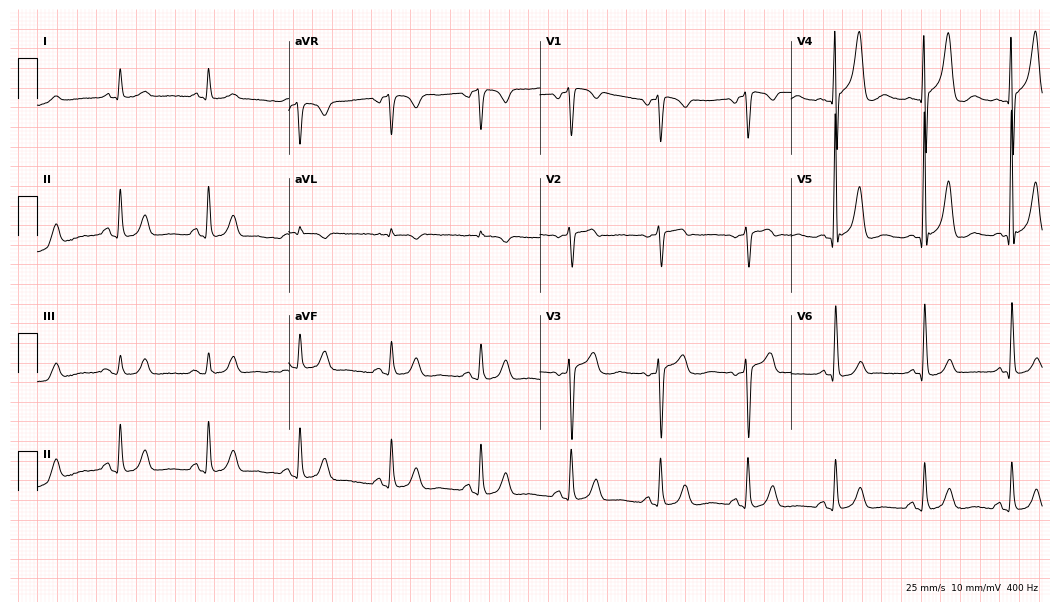
ECG (10.2-second recording at 400 Hz) — a male, 78 years old. Labelled as a normal ECG.